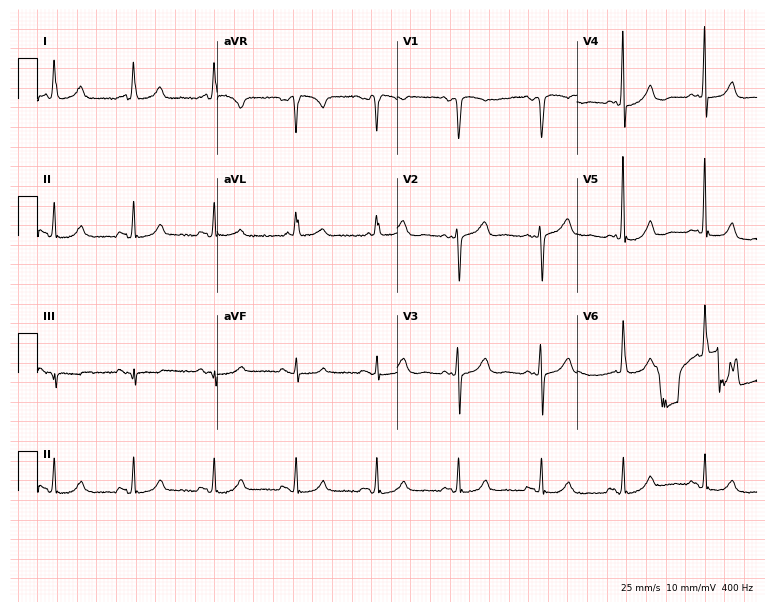
12-lead ECG from an 83-year-old female patient. Recorded interpretation: within normal limits.